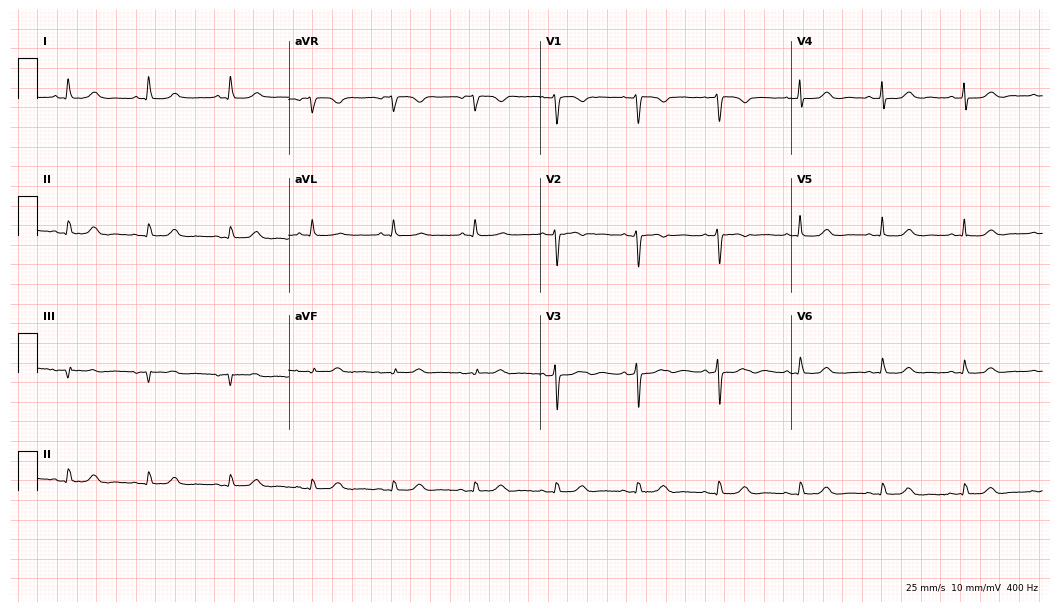
Electrocardiogram (10.2-second recording at 400 Hz), a female, 72 years old. Overall reading on record: normal ECG.